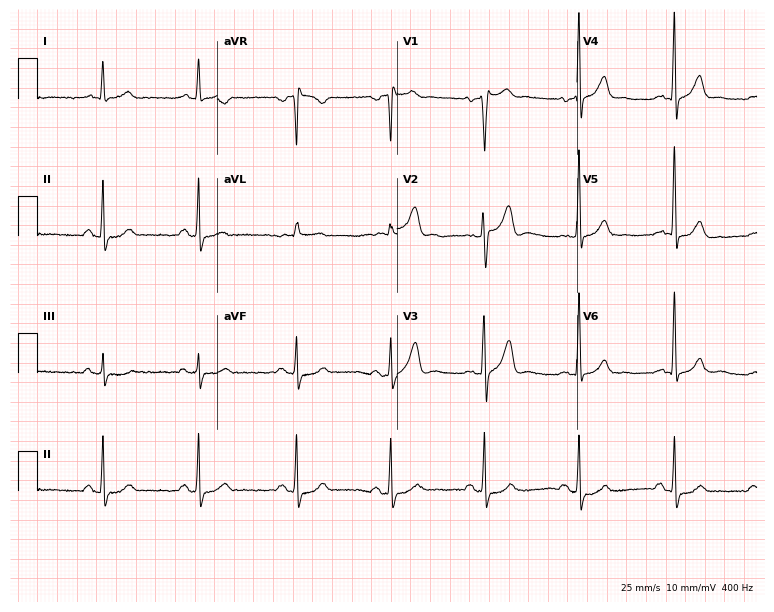
Electrocardiogram, a male patient, 58 years old. Overall reading on record: normal ECG.